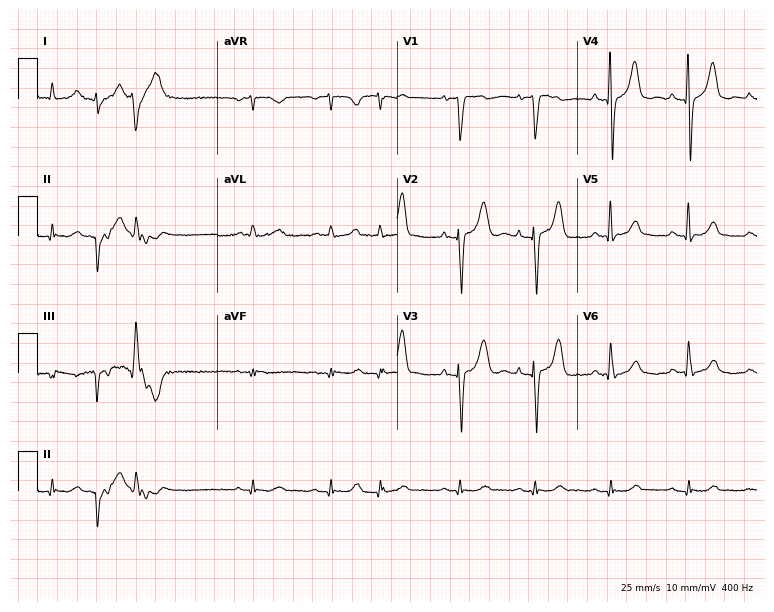
Electrocardiogram, a man, 79 years old. Of the six screened findings (first-degree AV block, right bundle branch block, left bundle branch block, sinus bradycardia, atrial fibrillation, sinus tachycardia), none is recorded. Findings outside these six are not listed.